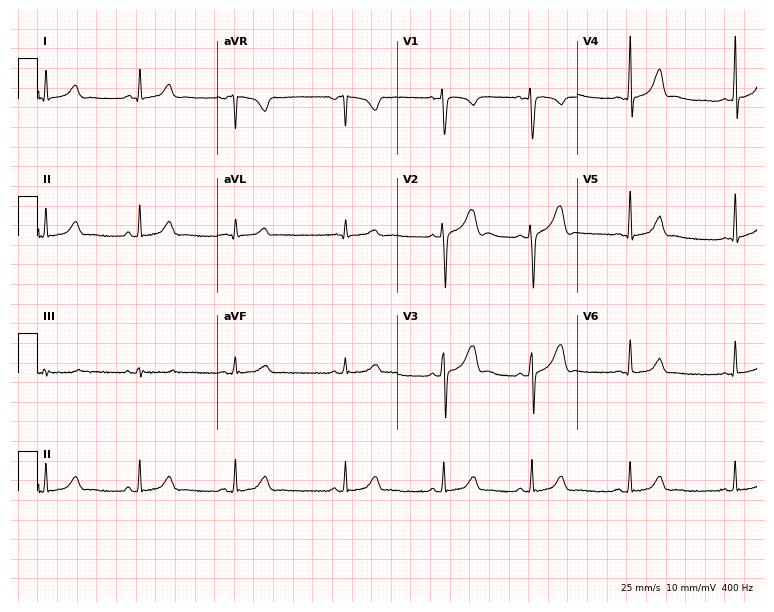
12-lead ECG from a female, 26 years old. Recorded interpretation: within normal limits.